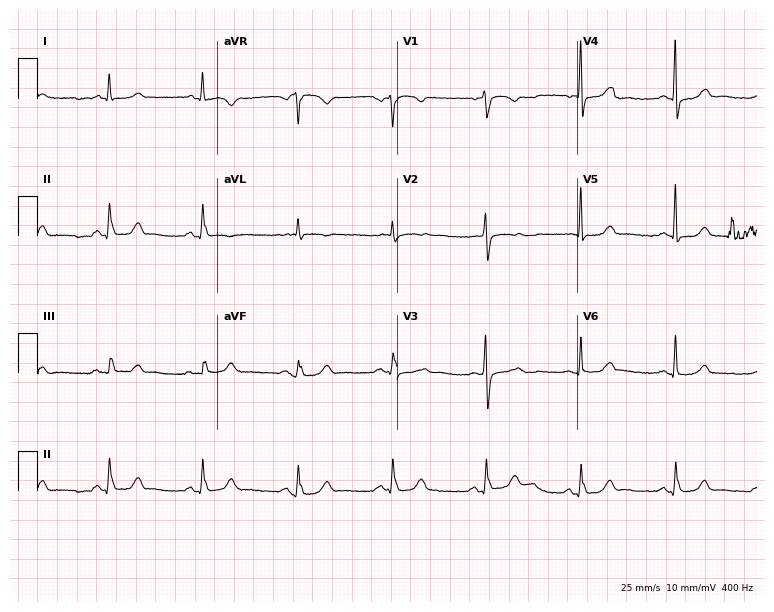
12-lead ECG from a female patient, 67 years old. No first-degree AV block, right bundle branch block, left bundle branch block, sinus bradycardia, atrial fibrillation or sinus tachycardia recorded for this tracing.